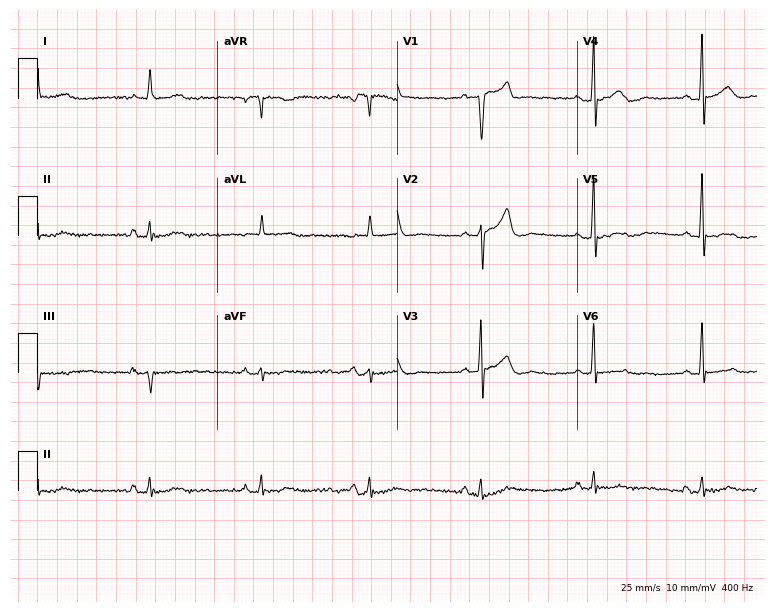
Resting 12-lead electrocardiogram (7.3-second recording at 400 Hz). Patient: a 59-year-old male. None of these six findings is recorded: first-degree AV block, right bundle branch block, left bundle branch block, sinus bradycardia, atrial fibrillation, sinus tachycardia.